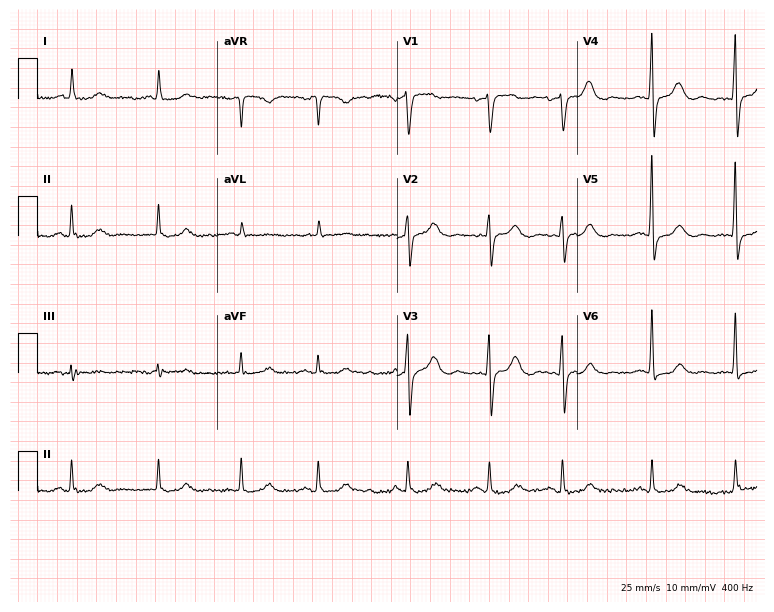
Standard 12-lead ECG recorded from a female, 83 years old. Read as a normal ECG.